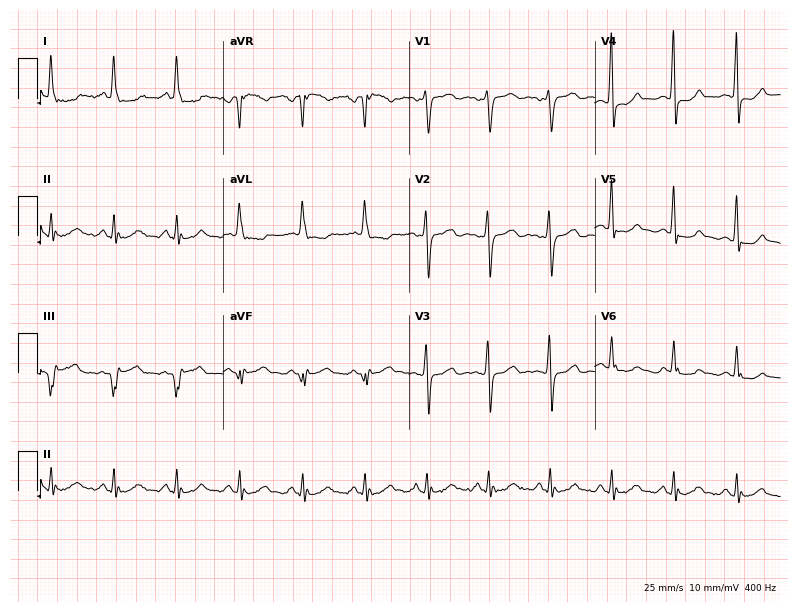
ECG — a 63-year-old woman. Screened for six findings — first-degree AV block, right bundle branch block (RBBB), left bundle branch block (LBBB), sinus bradycardia, atrial fibrillation (AF), sinus tachycardia — none is recorded.